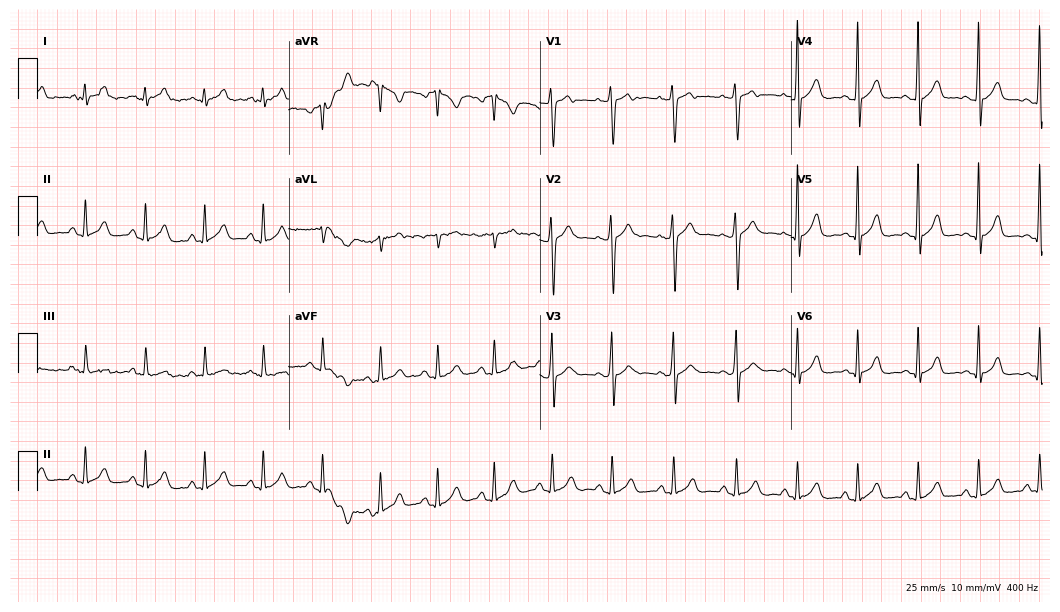
12-lead ECG from a 19-year-old male. Screened for six findings — first-degree AV block, right bundle branch block, left bundle branch block, sinus bradycardia, atrial fibrillation, sinus tachycardia — none is recorded. Only these six findings were labelled.